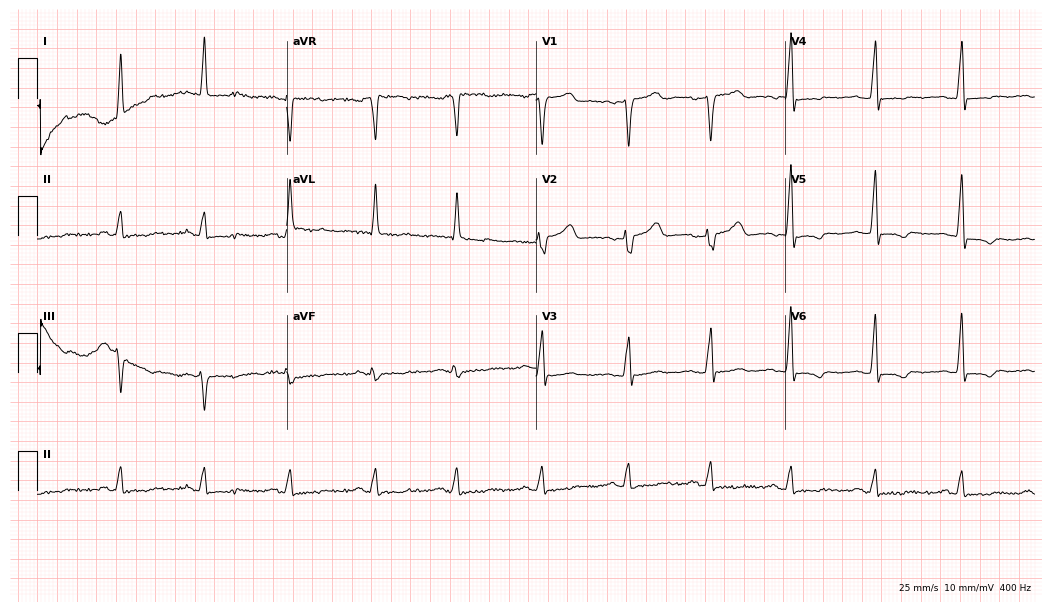
Standard 12-lead ECG recorded from a female patient, 42 years old (10.2-second recording at 400 Hz). None of these six findings is recorded: first-degree AV block, right bundle branch block (RBBB), left bundle branch block (LBBB), sinus bradycardia, atrial fibrillation (AF), sinus tachycardia.